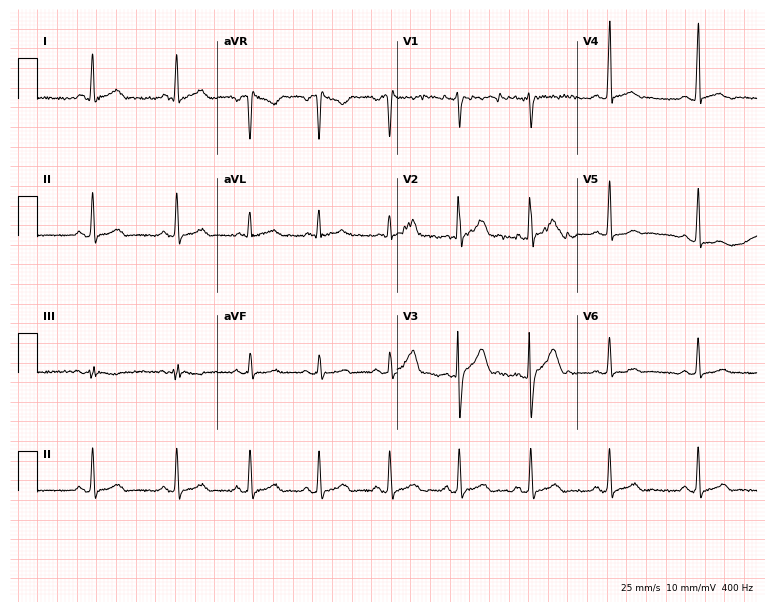
12-lead ECG from a 19-year-old male patient (7.3-second recording at 400 Hz). Recorded interpretation: within normal limits.